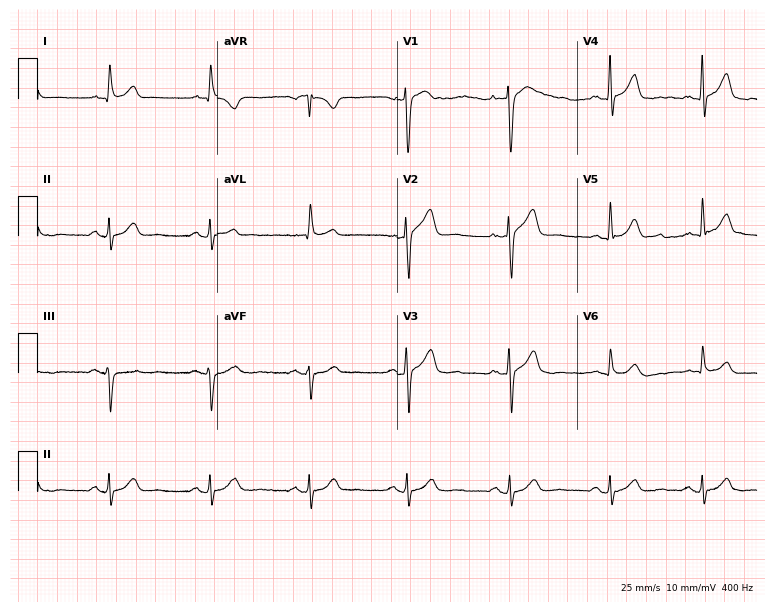
12-lead ECG from a man, 63 years old (7.3-second recording at 400 Hz). No first-degree AV block, right bundle branch block, left bundle branch block, sinus bradycardia, atrial fibrillation or sinus tachycardia recorded for this tracing. Other findings, if any, are not listed.